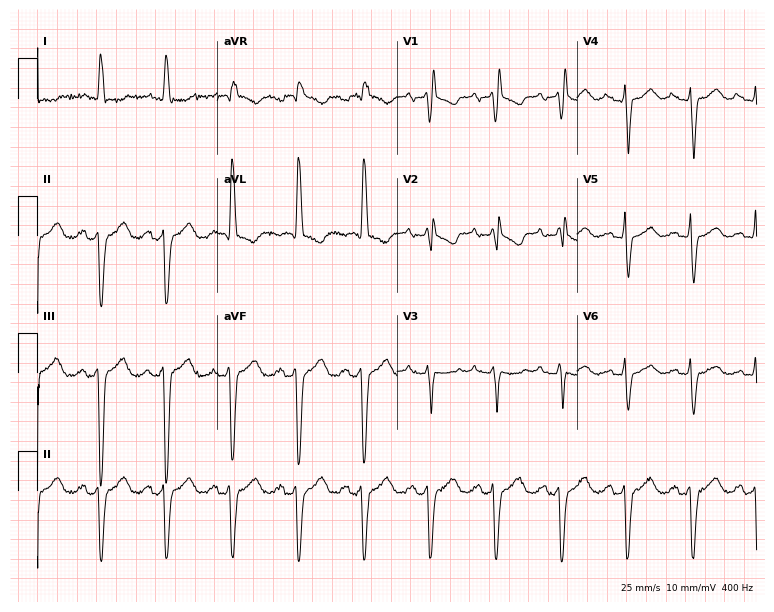
Standard 12-lead ECG recorded from a 74-year-old female patient (7.3-second recording at 400 Hz). The tracing shows right bundle branch block (RBBB).